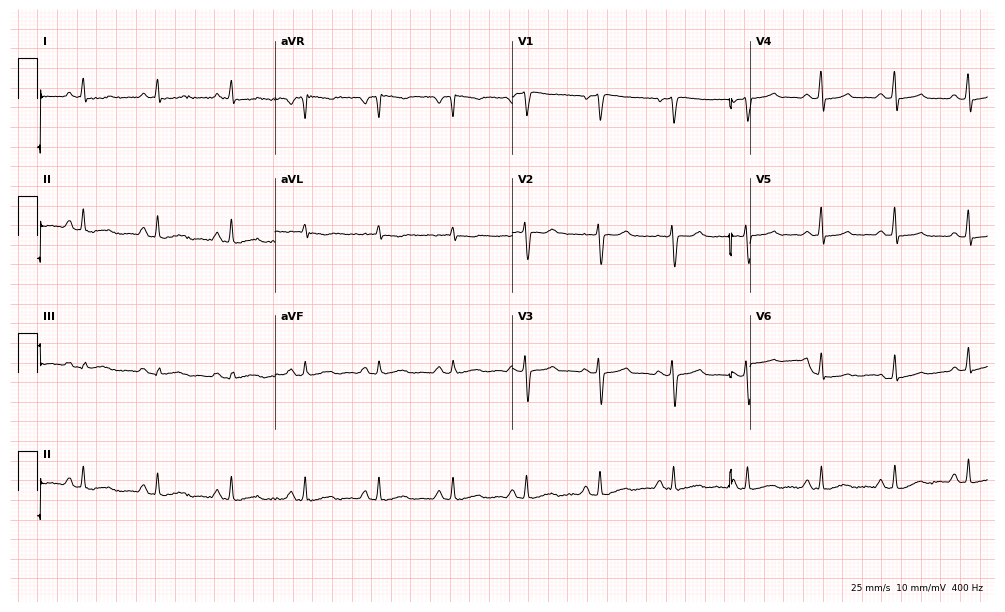
ECG (9.7-second recording at 400 Hz) — a female, 71 years old. Labelled as a normal ECG.